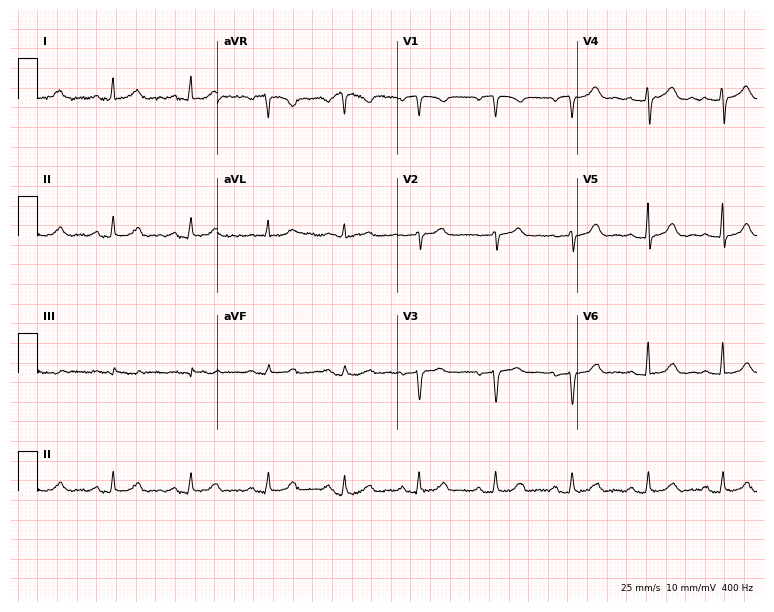
Standard 12-lead ECG recorded from a female, 59 years old (7.3-second recording at 400 Hz). Read as a normal ECG.